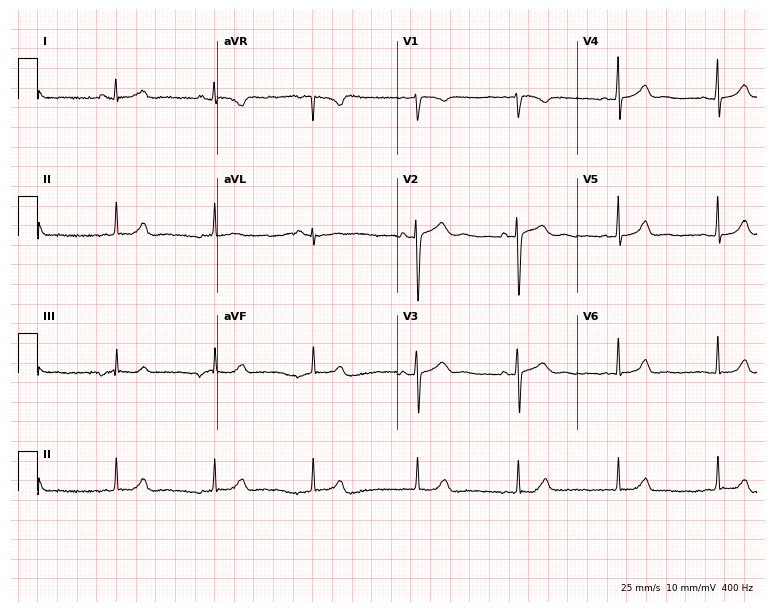
12-lead ECG from a 20-year-old woman. Screened for six findings — first-degree AV block, right bundle branch block, left bundle branch block, sinus bradycardia, atrial fibrillation, sinus tachycardia — none is recorded. Other findings, if any, are not listed.